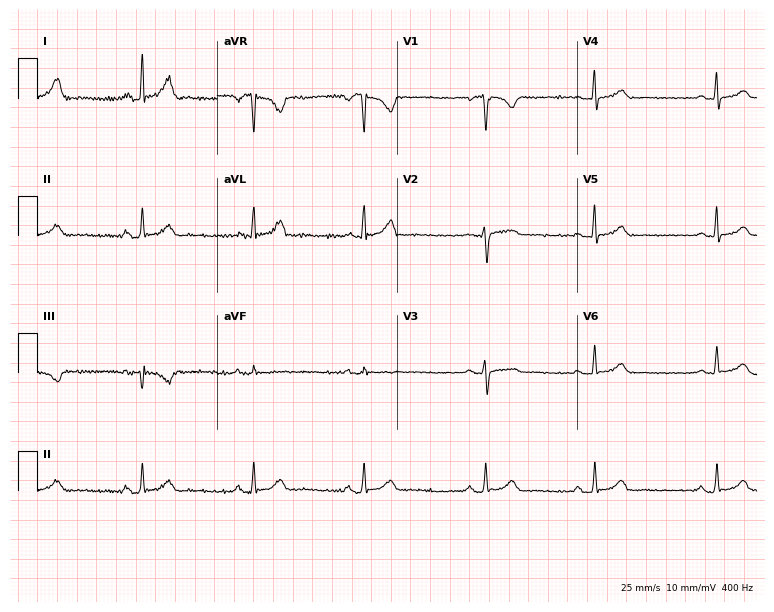
12-lead ECG (7.3-second recording at 400 Hz) from a female patient, 34 years old. Labelled as a normal ECG.